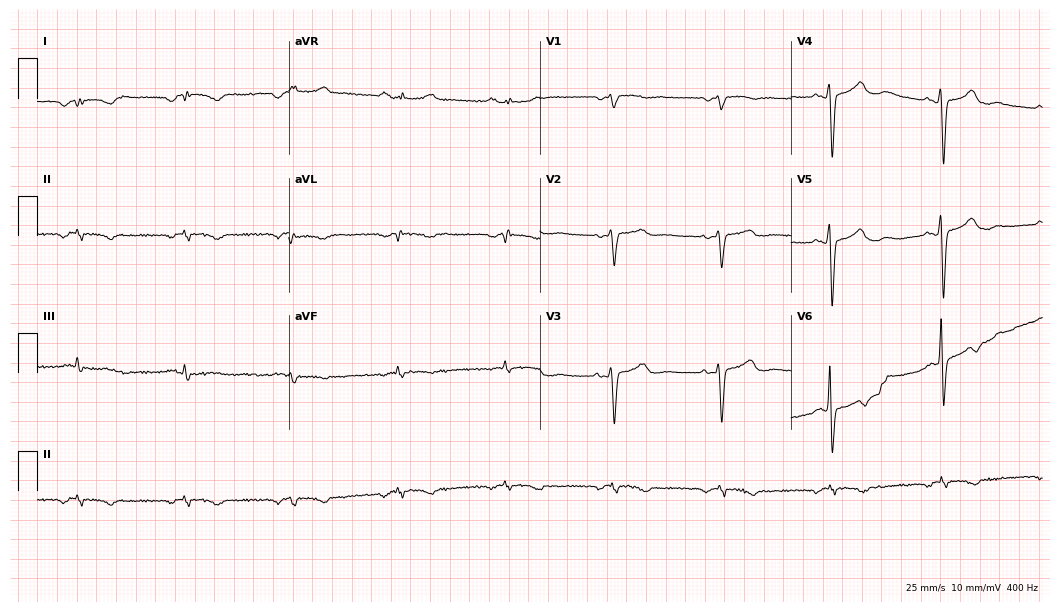
ECG (10.2-second recording at 400 Hz) — a male, 80 years old. Screened for six findings — first-degree AV block, right bundle branch block, left bundle branch block, sinus bradycardia, atrial fibrillation, sinus tachycardia — none is recorded. Other findings, if any, are not listed.